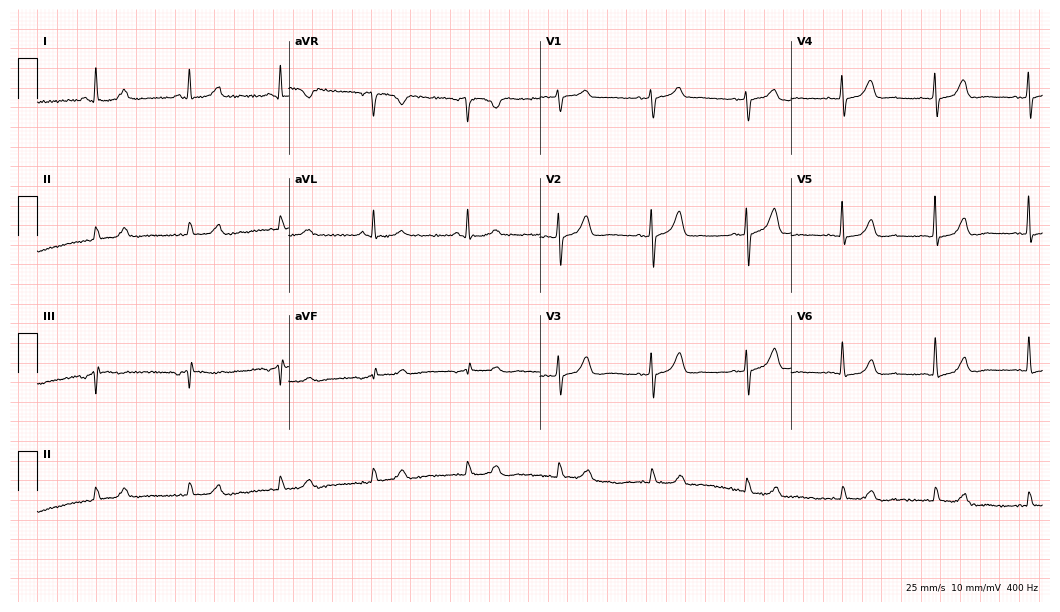
Electrocardiogram, a 76-year-old woman. Overall reading on record: normal ECG.